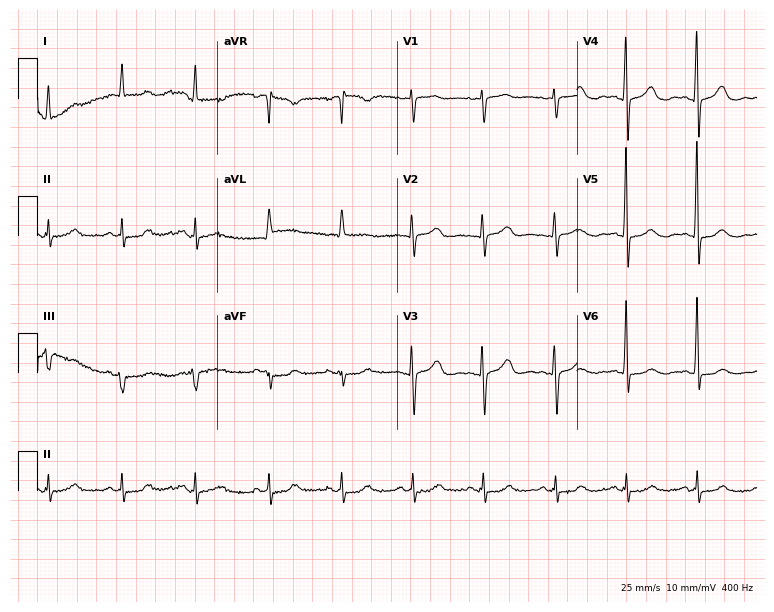
Standard 12-lead ECG recorded from a female patient, 80 years old (7.3-second recording at 400 Hz). Read as a normal ECG.